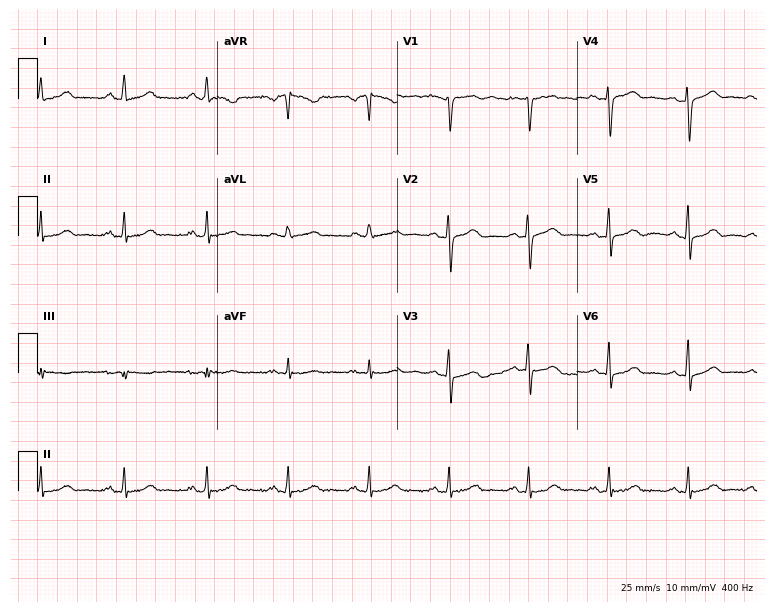
12-lead ECG from a woman, 49 years old. Recorded interpretation: within normal limits.